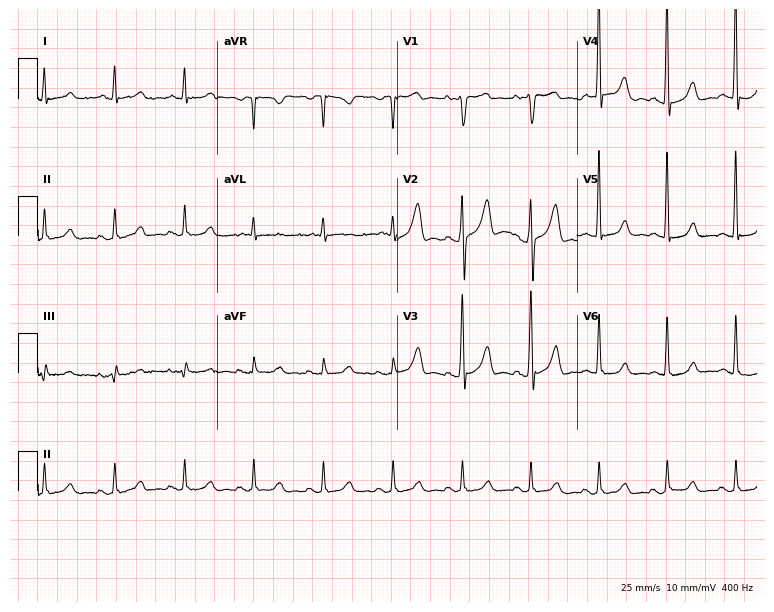
12-lead ECG from a 51-year-old female (7.3-second recording at 400 Hz). No first-degree AV block, right bundle branch block (RBBB), left bundle branch block (LBBB), sinus bradycardia, atrial fibrillation (AF) or sinus tachycardia recorded for this tracing.